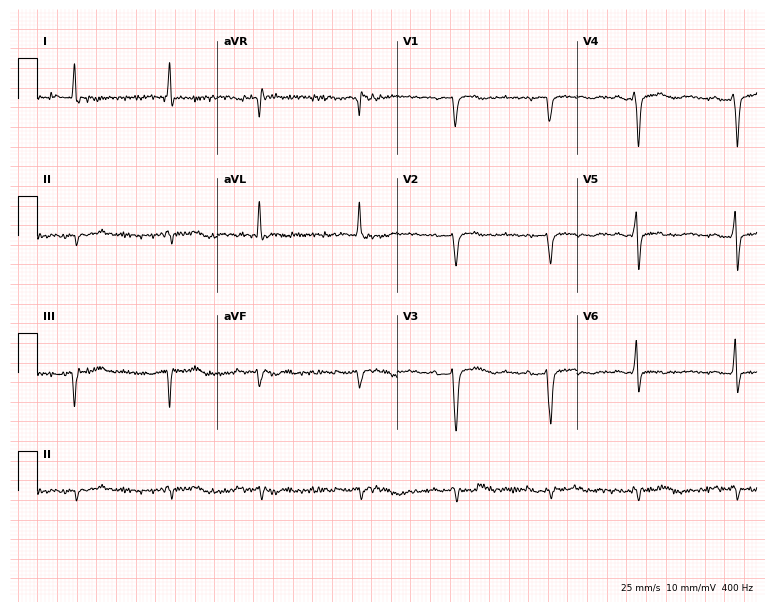
12-lead ECG from a 72-year-old female (7.3-second recording at 400 Hz). No first-degree AV block, right bundle branch block, left bundle branch block, sinus bradycardia, atrial fibrillation or sinus tachycardia recorded for this tracing. Other findings, if any, are not listed.